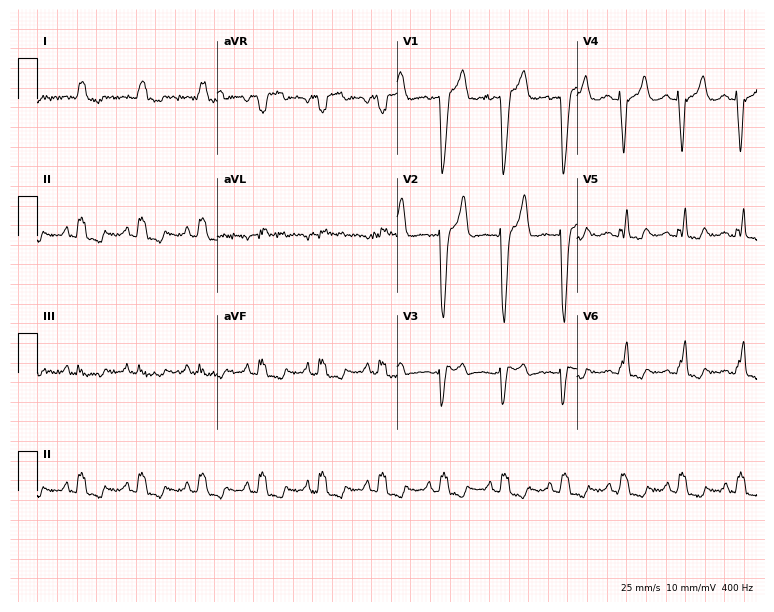
12-lead ECG from a 31-year-old female patient. Shows left bundle branch block.